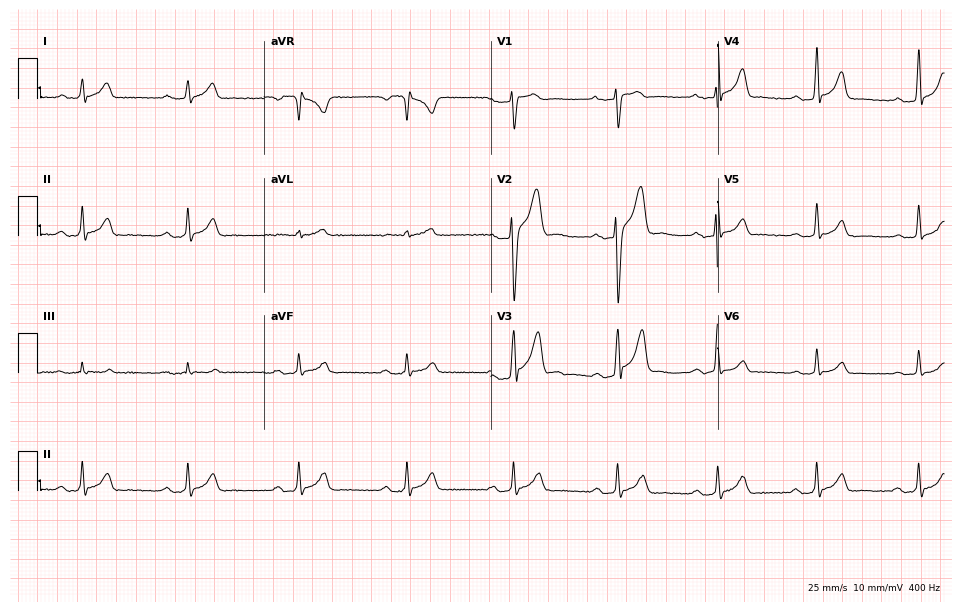
12-lead ECG (9.2-second recording at 400 Hz) from a 22-year-old woman. Labelled as a normal ECG.